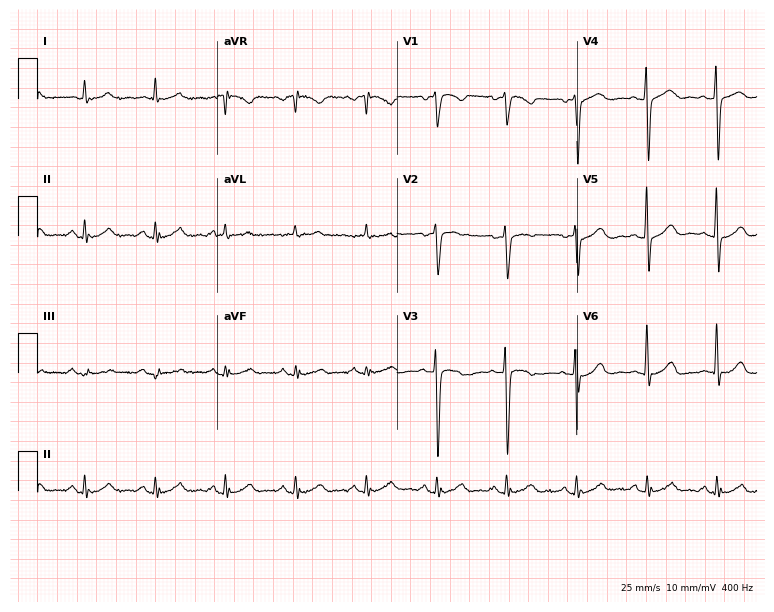
12-lead ECG from a man, 68 years old. Recorded interpretation: within normal limits.